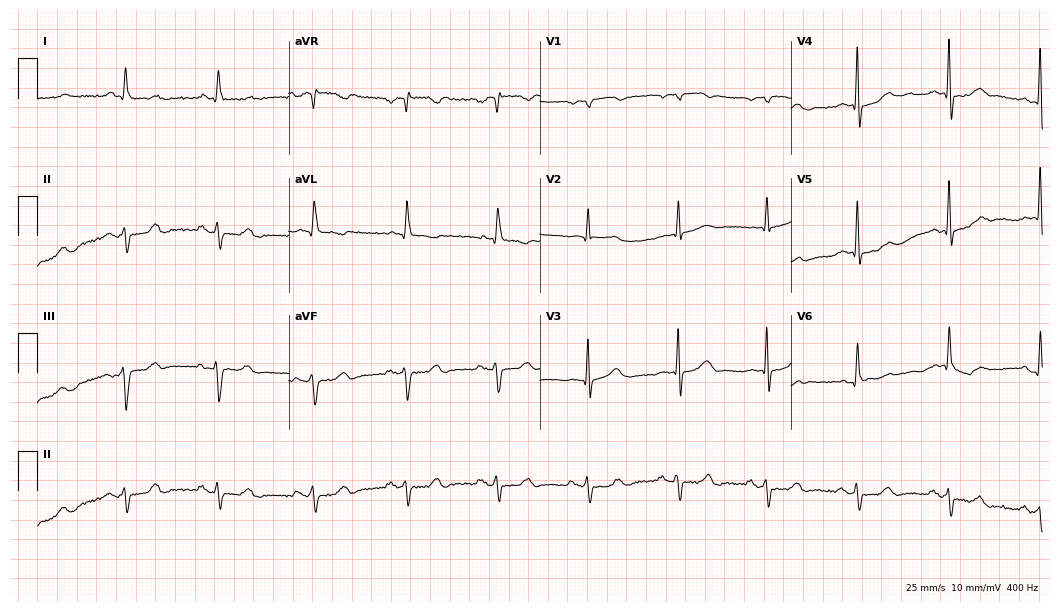
ECG — an 84-year-old male. Screened for six findings — first-degree AV block, right bundle branch block (RBBB), left bundle branch block (LBBB), sinus bradycardia, atrial fibrillation (AF), sinus tachycardia — none is recorded.